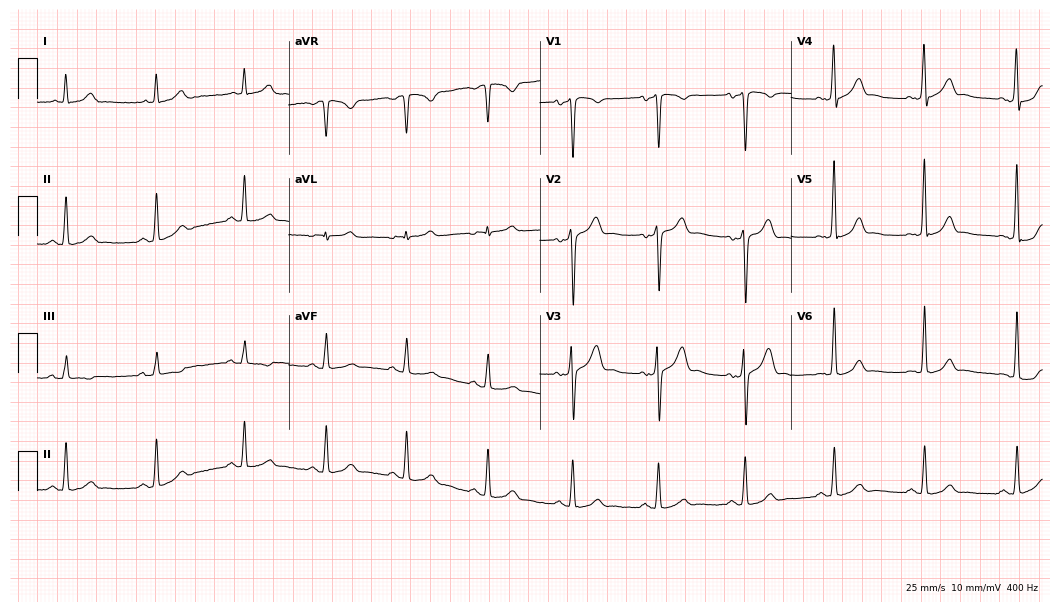
Resting 12-lead electrocardiogram (10.2-second recording at 400 Hz). Patient: a 35-year-old male. Read as a normal ECG.